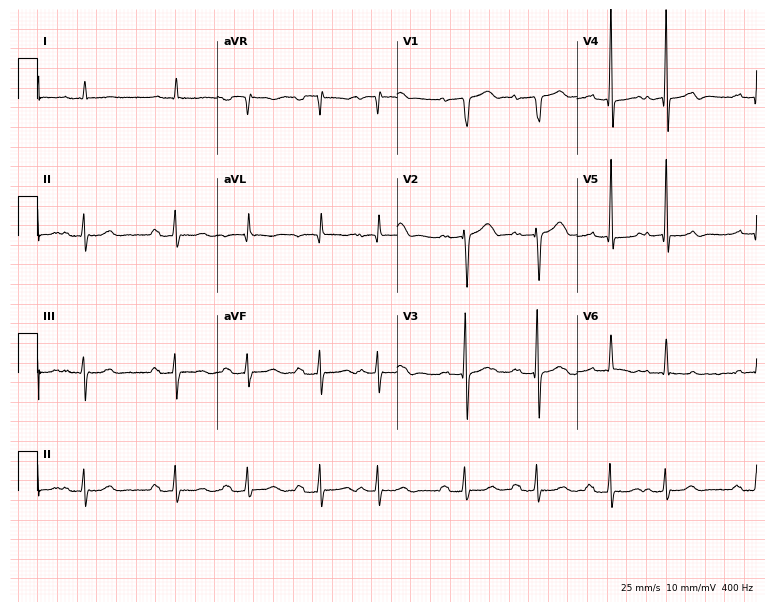
ECG — a male patient, 81 years old. Findings include first-degree AV block.